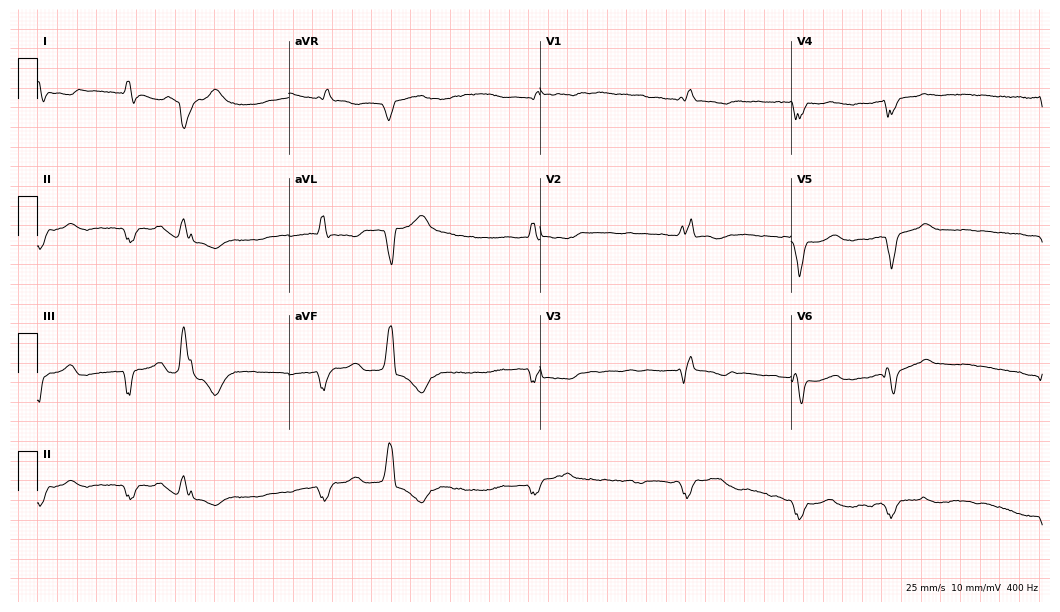
ECG — a female, 61 years old. Findings include right bundle branch block (RBBB), atrial fibrillation (AF).